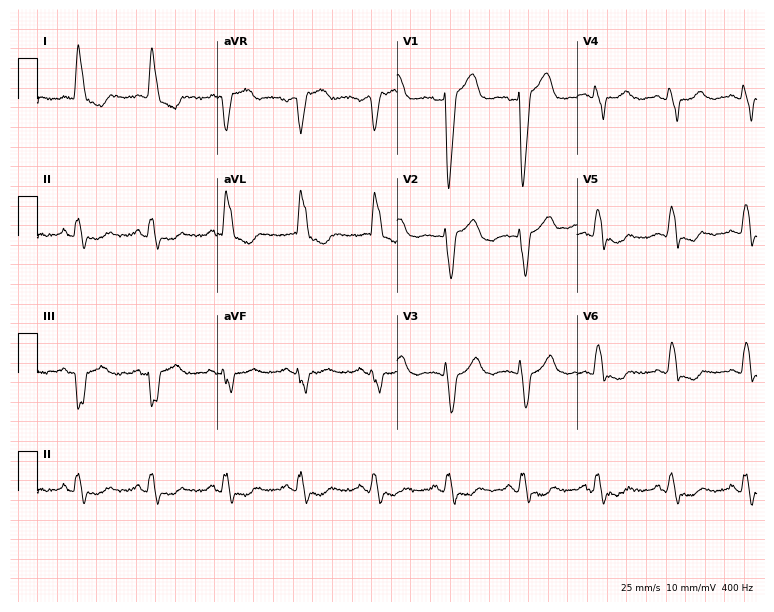
ECG — an 82-year-old woman. Findings include left bundle branch block (LBBB).